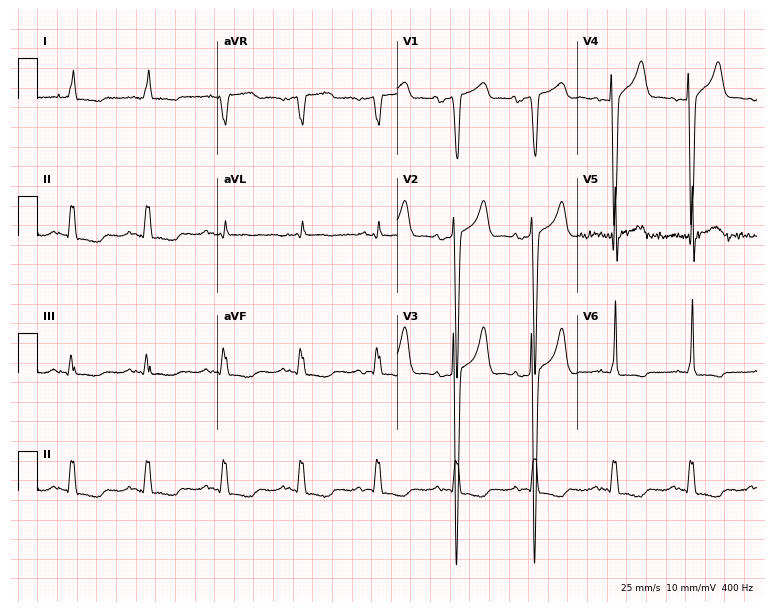
Electrocardiogram (7.3-second recording at 400 Hz), an 83-year-old male patient. Of the six screened findings (first-degree AV block, right bundle branch block, left bundle branch block, sinus bradycardia, atrial fibrillation, sinus tachycardia), none is recorded. Other findings, if any, are not listed.